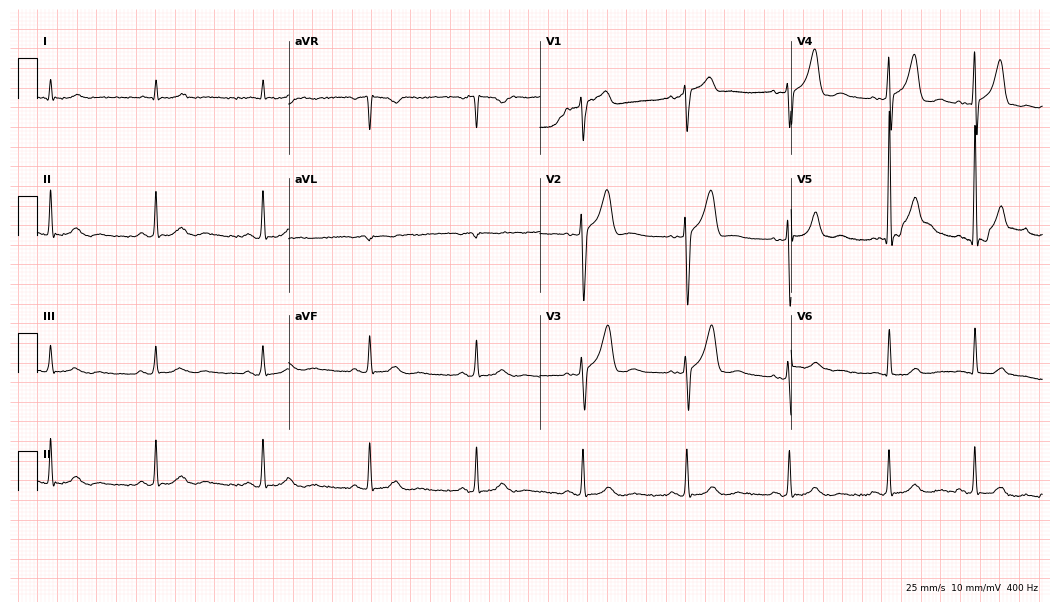
ECG — a male patient, 85 years old. Labelled as a normal ECG.